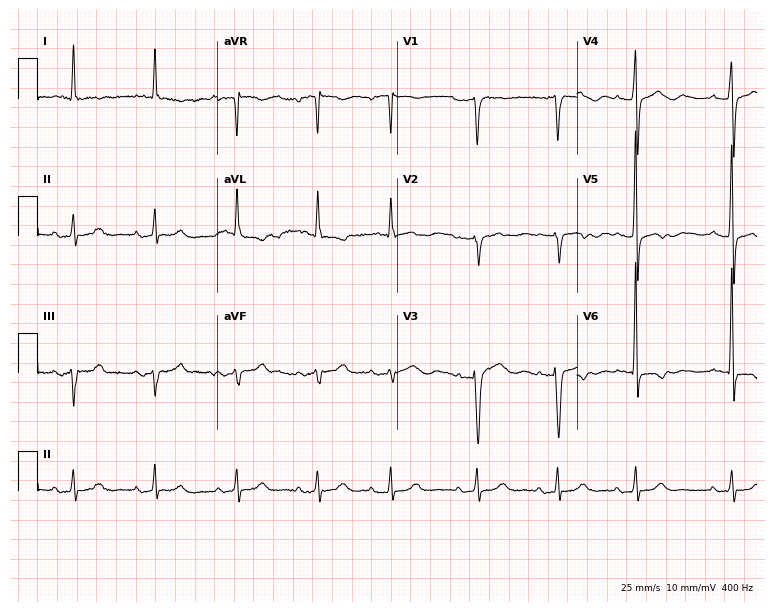
Standard 12-lead ECG recorded from a woman, 73 years old (7.3-second recording at 400 Hz). None of these six findings is recorded: first-degree AV block, right bundle branch block, left bundle branch block, sinus bradycardia, atrial fibrillation, sinus tachycardia. Other findings, if any, are not listed.